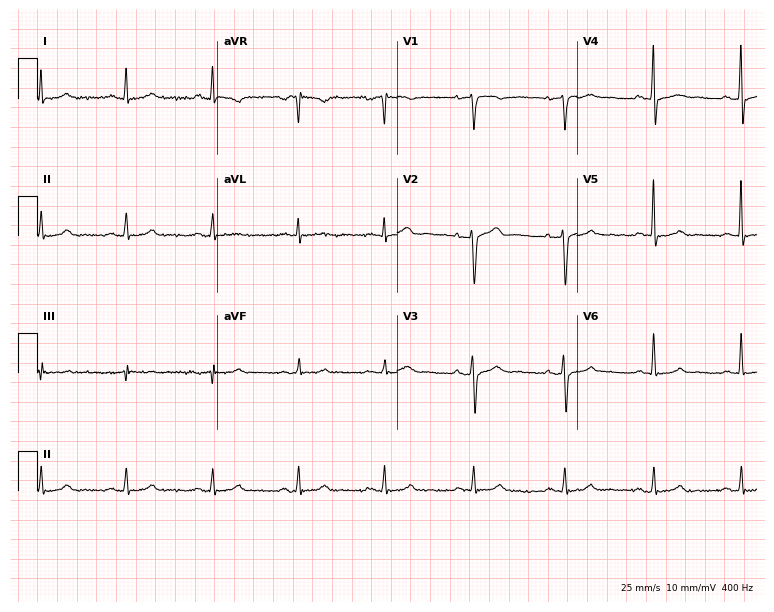
12-lead ECG from a 46-year-old male. No first-degree AV block, right bundle branch block, left bundle branch block, sinus bradycardia, atrial fibrillation or sinus tachycardia recorded for this tracing.